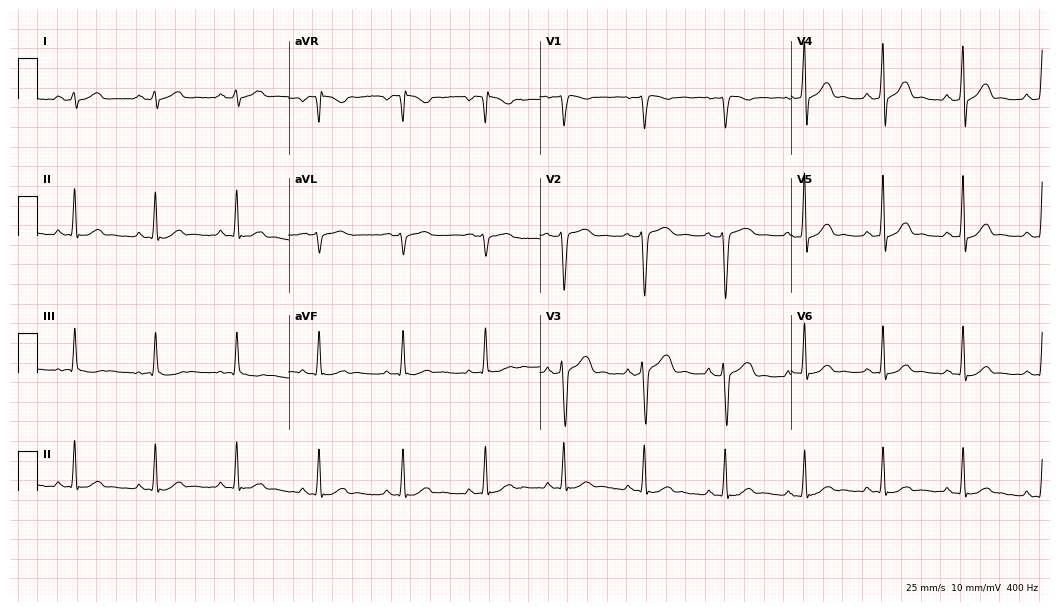
12-lead ECG from a male patient, 39 years old. Recorded interpretation: within normal limits.